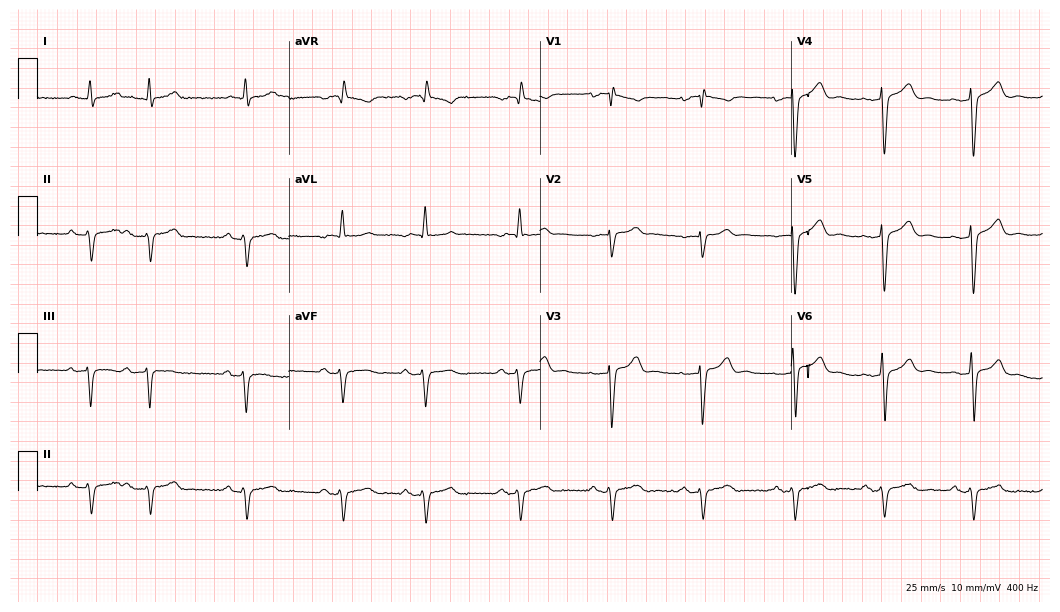
Electrocardiogram, a woman, 75 years old. Of the six screened findings (first-degree AV block, right bundle branch block, left bundle branch block, sinus bradycardia, atrial fibrillation, sinus tachycardia), none is recorded. Only these six findings were labelled.